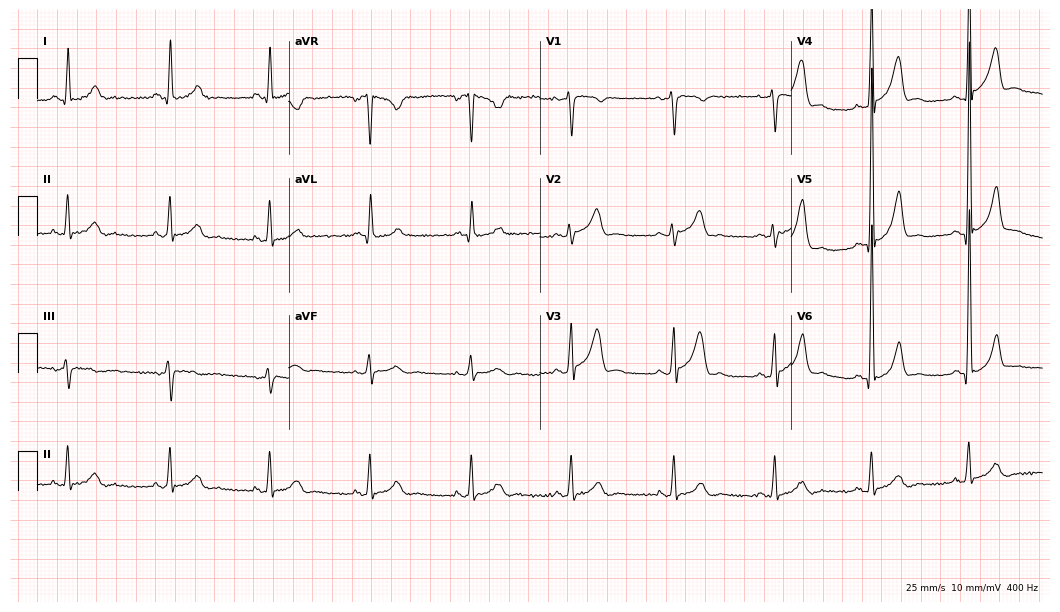
12-lead ECG from a male, 62 years old. No first-degree AV block, right bundle branch block, left bundle branch block, sinus bradycardia, atrial fibrillation or sinus tachycardia recorded for this tracing.